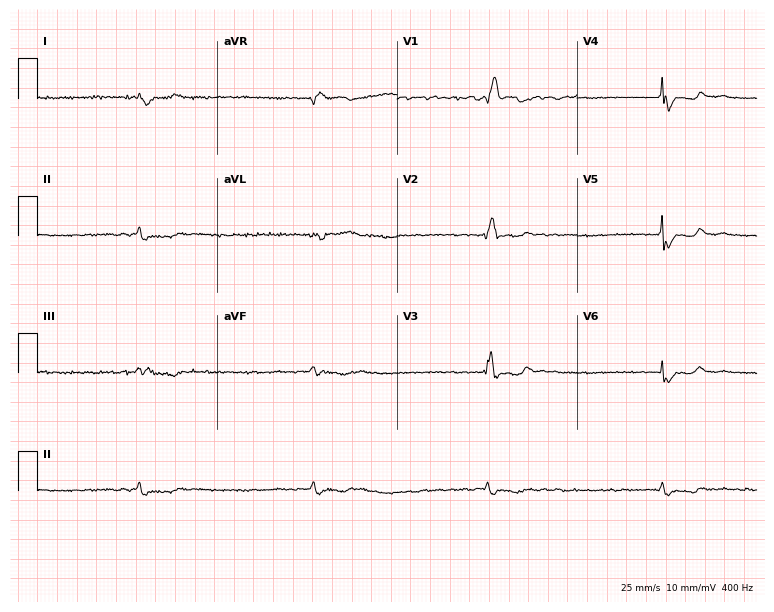
Standard 12-lead ECG recorded from a male patient, 62 years old. None of these six findings is recorded: first-degree AV block, right bundle branch block (RBBB), left bundle branch block (LBBB), sinus bradycardia, atrial fibrillation (AF), sinus tachycardia. Other findings, if any, are not listed.